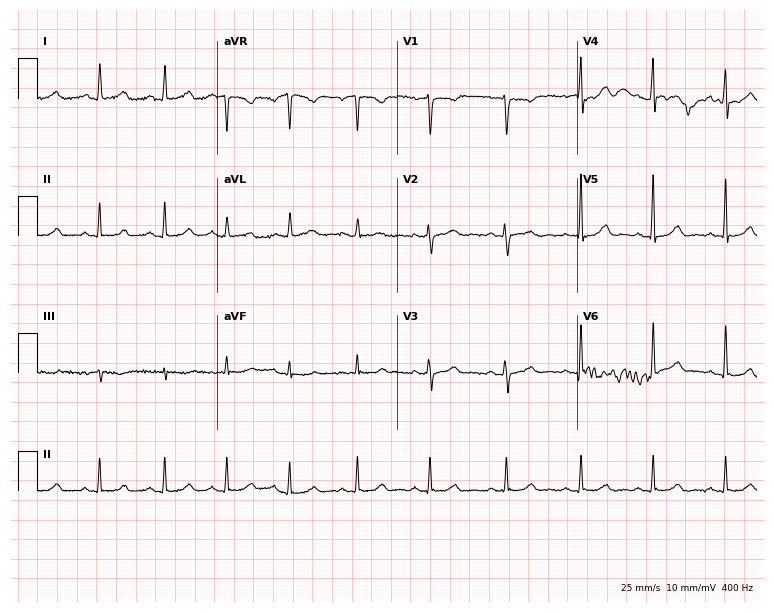
12-lead ECG from a woman, 50 years old (7.3-second recording at 400 Hz). Recorded interpretation: within normal limits.